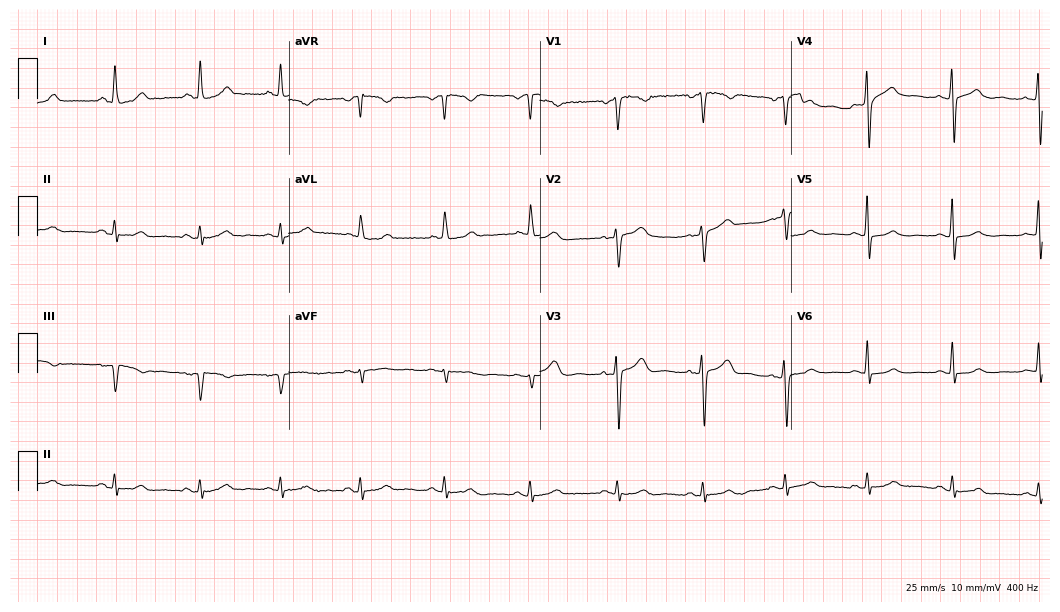
12-lead ECG from a female, 68 years old. No first-degree AV block, right bundle branch block, left bundle branch block, sinus bradycardia, atrial fibrillation or sinus tachycardia recorded for this tracing. Findings outside these six are not listed.